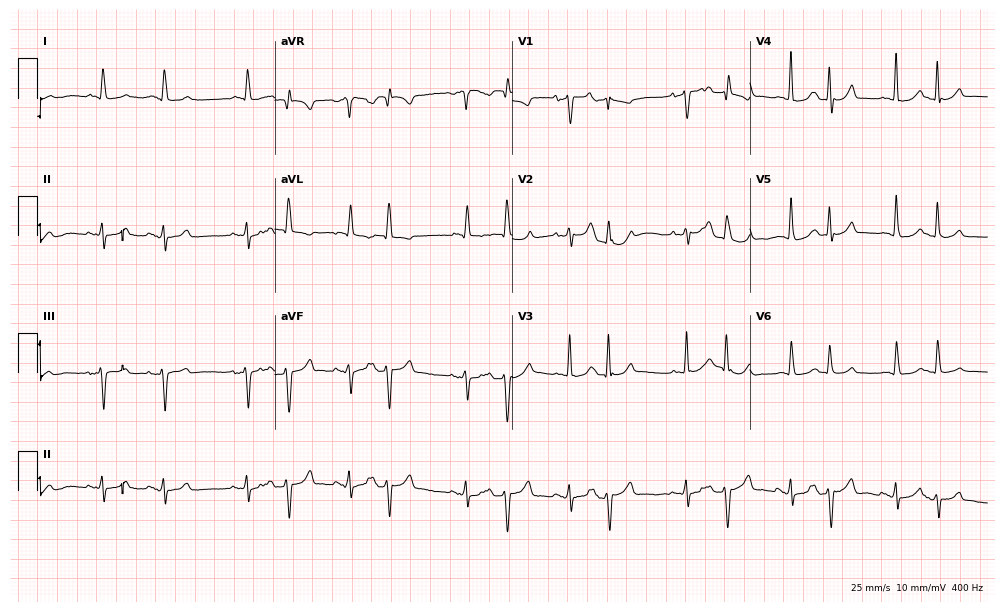
Standard 12-lead ECG recorded from a female patient, 83 years old. None of these six findings is recorded: first-degree AV block, right bundle branch block, left bundle branch block, sinus bradycardia, atrial fibrillation, sinus tachycardia.